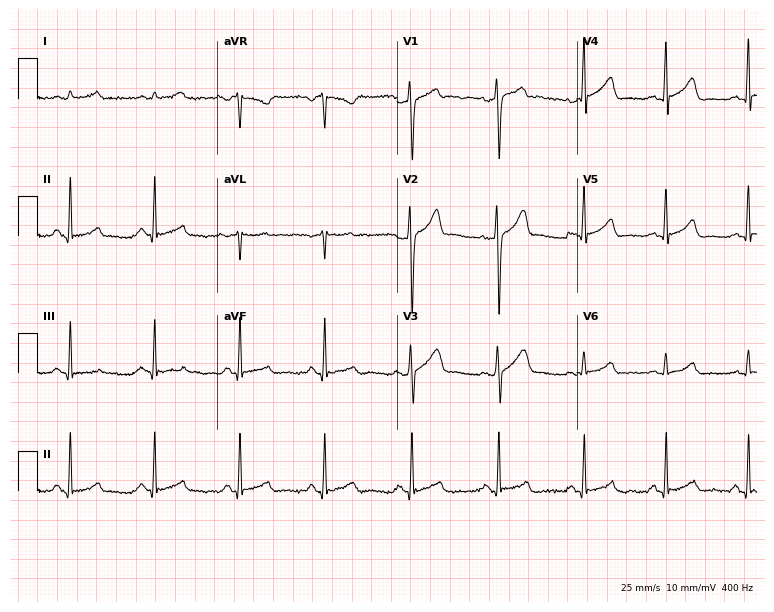
12-lead ECG (7.3-second recording at 400 Hz) from a 33-year-old male. Screened for six findings — first-degree AV block, right bundle branch block, left bundle branch block, sinus bradycardia, atrial fibrillation, sinus tachycardia — none is recorded.